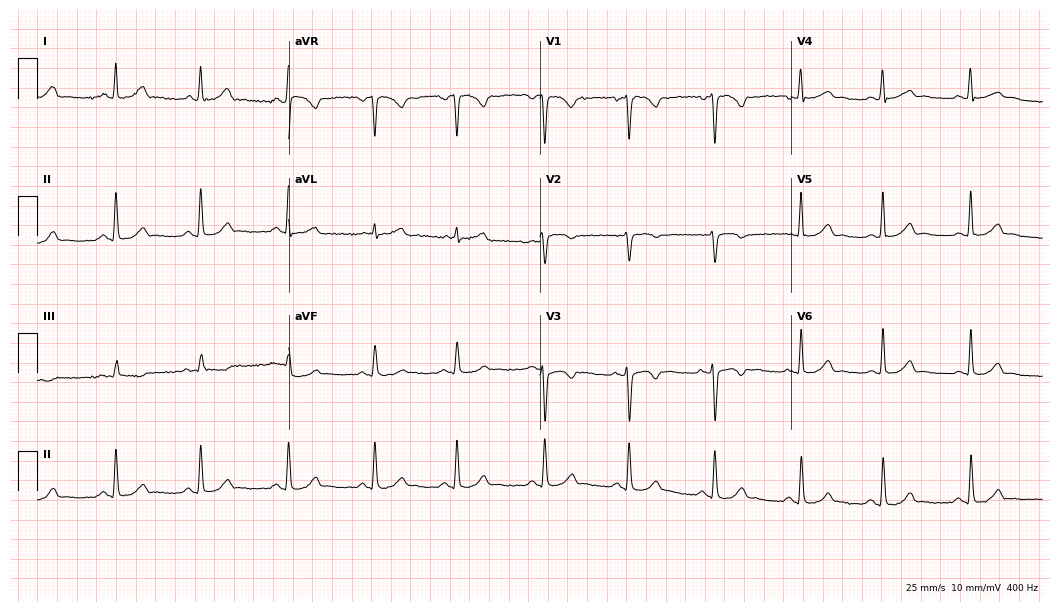
Standard 12-lead ECG recorded from a woman, 31 years old. Read as a normal ECG.